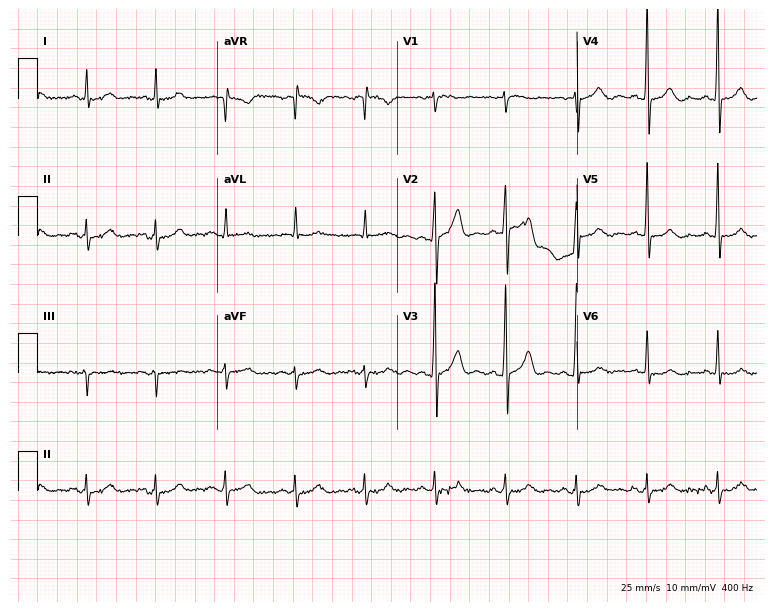
Resting 12-lead electrocardiogram. Patient: a 64-year-old male. Read as a normal ECG.